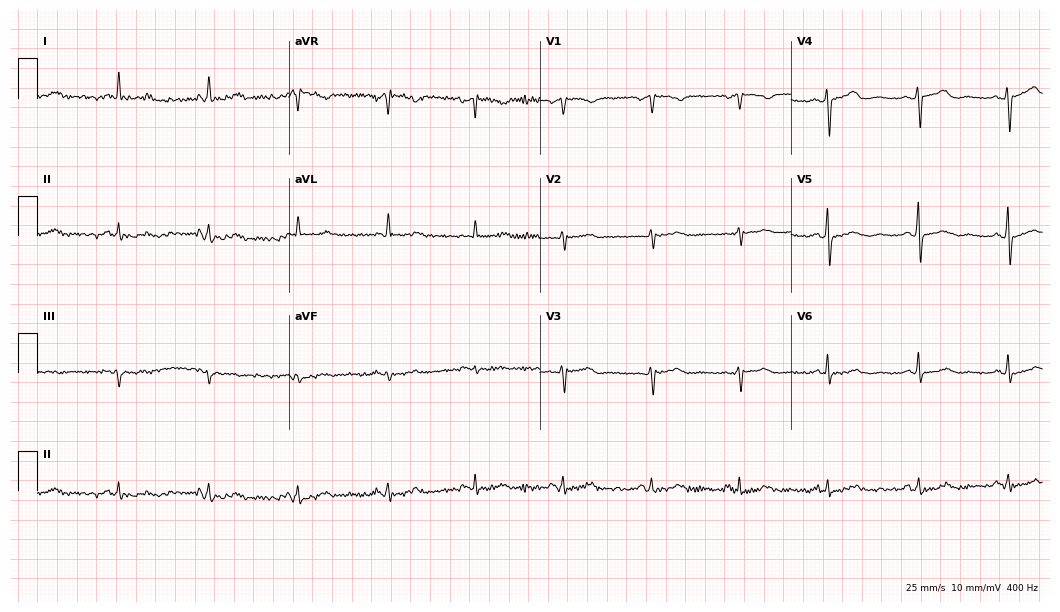
Standard 12-lead ECG recorded from a 45-year-old female patient. None of these six findings is recorded: first-degree AV block, right bundle branch block (RBBB), left bundle branch block (LBBB), sinus bradycardia, atrial fibrillation (AF), sinus tachycardia. Findings outside these six are not listed.